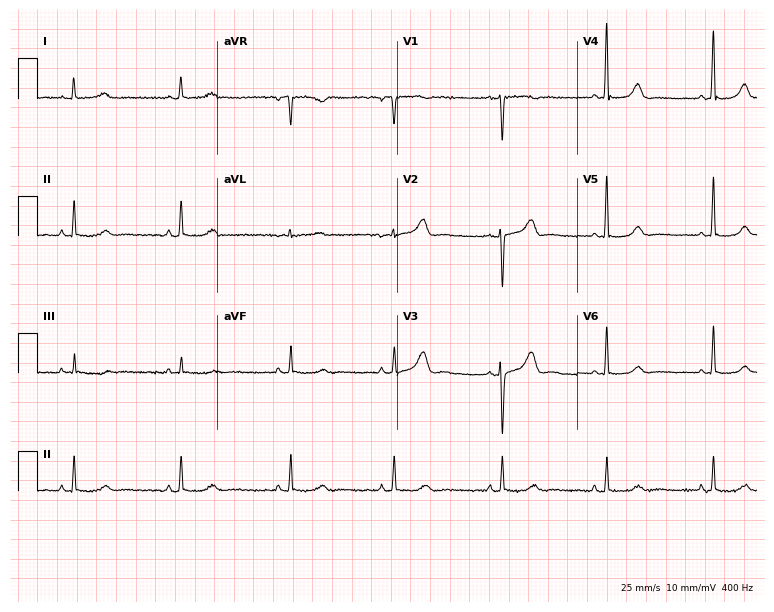
12-lead ECG from a female, 43 years old. Labelled as a normal ECG.